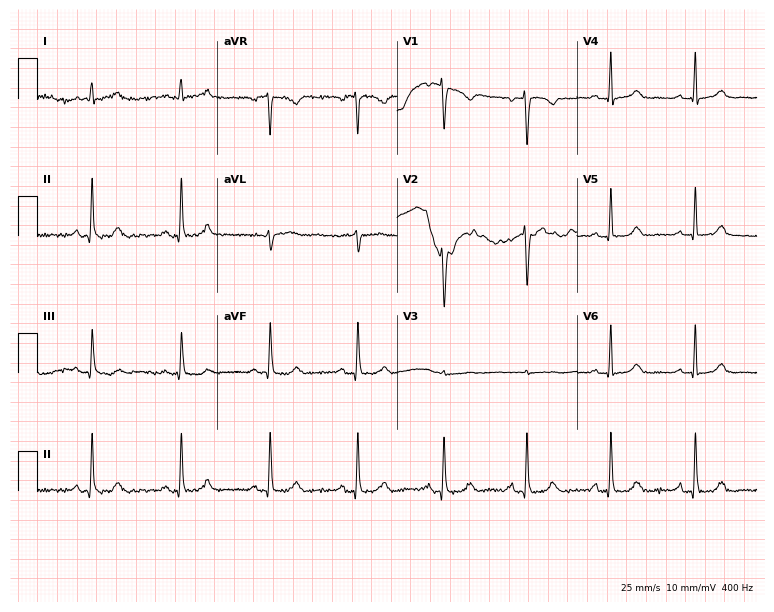
Resting 12-lead electrocardiogram. Patient: a 49-year-old female. Read as a normal ECG.